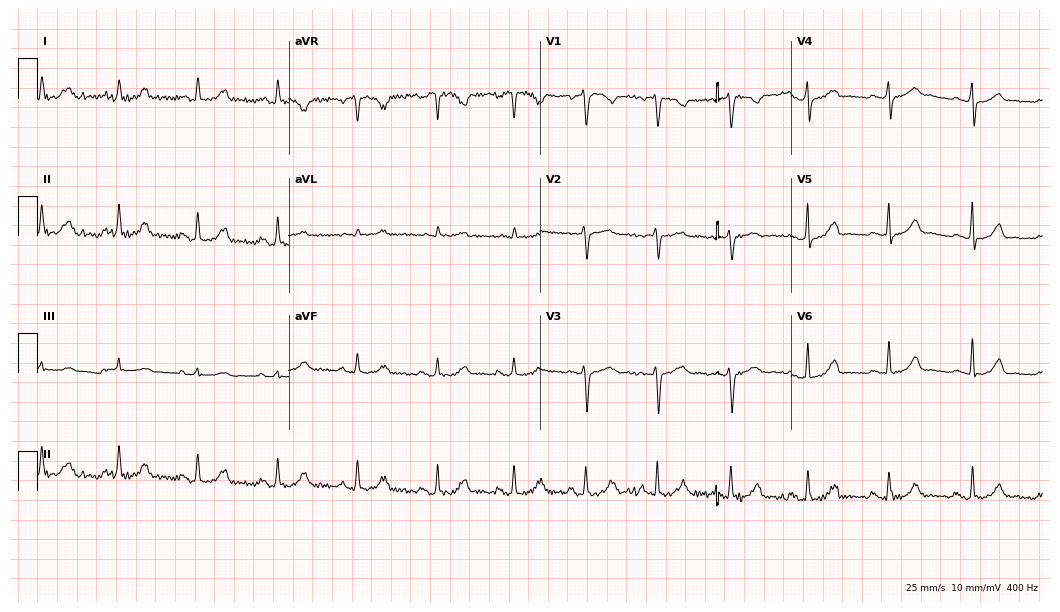
Standard 12-lead ECG recorded from a 34-year-old female (10.2-second recording at 400 Hz). Read as a normal ECG.